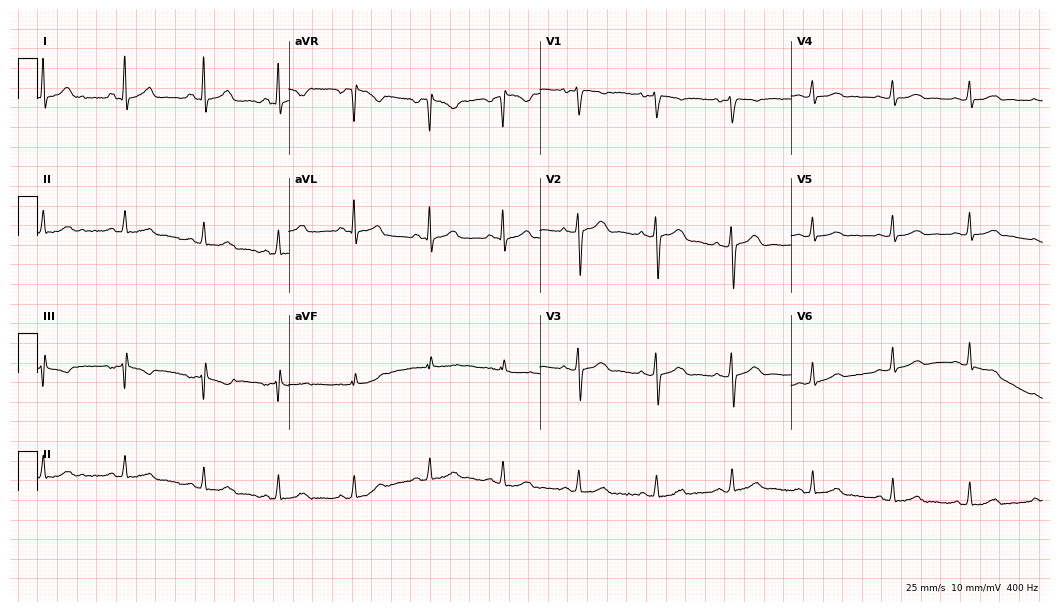
ECG — a woman, 40 years old. Labelled as a normal ECG.